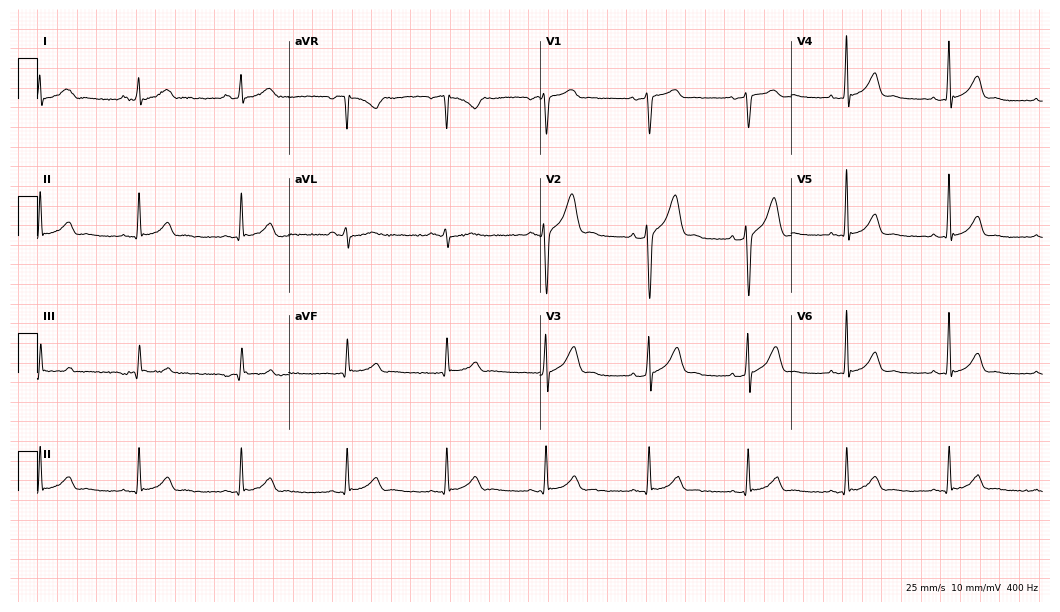
12-lead ECG (10.2-second recording at 400 Hz) from a 38-year-old male patient. Labelled as a normal ECG.